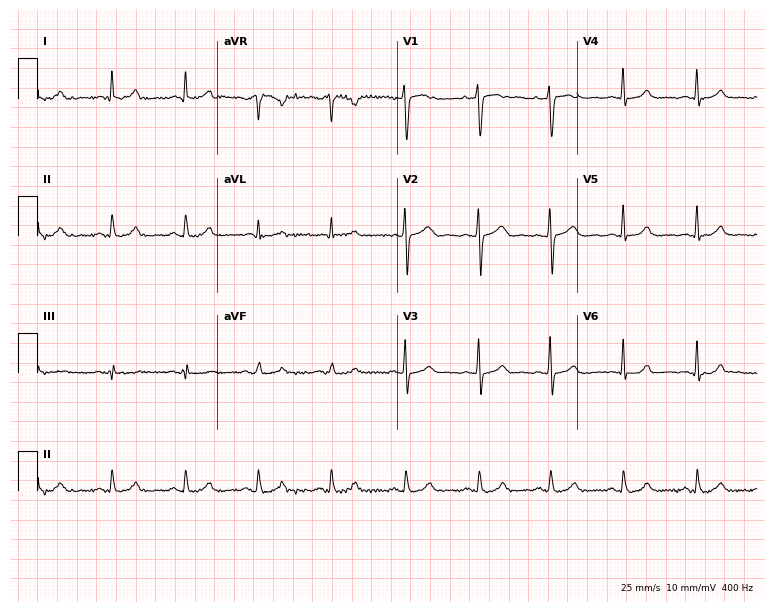
12-lead ECG (7.3-second recording at 400 Hz) from a female patient, 25 years old. Labelled as a normal ECG.